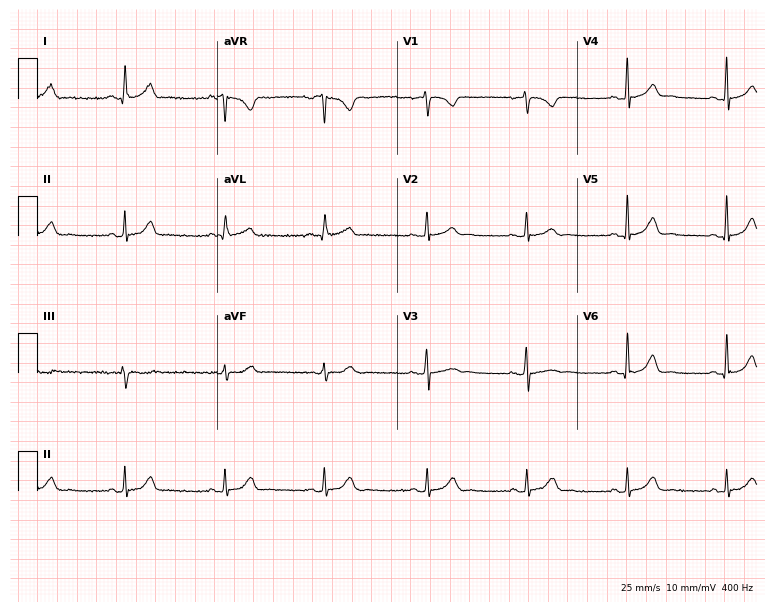
Resting 12-lead electrocardiogram (7.3-second recording at 400 Hz). Patient: a woman, 42 years old. Read as a normal ECG.